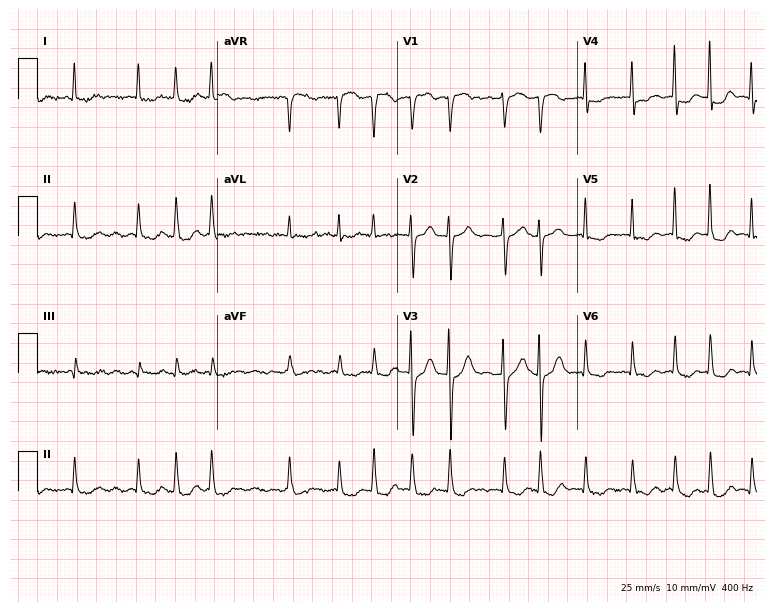
ECG — a 63-year-old female. Findings include atrial fibrillation (AF).